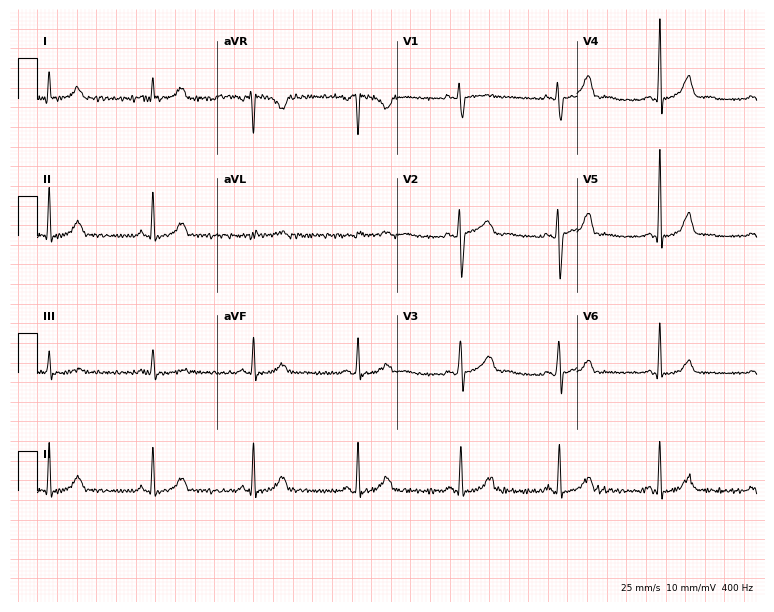
Standard 12-lead ECG recorded from a female patient, 34 years old. None of these six findings is recorded: first-degree AV block, right bundle branch block, left bundle branch block, sinus bradycardia, atrial fibrillation, sinus tachycardia.